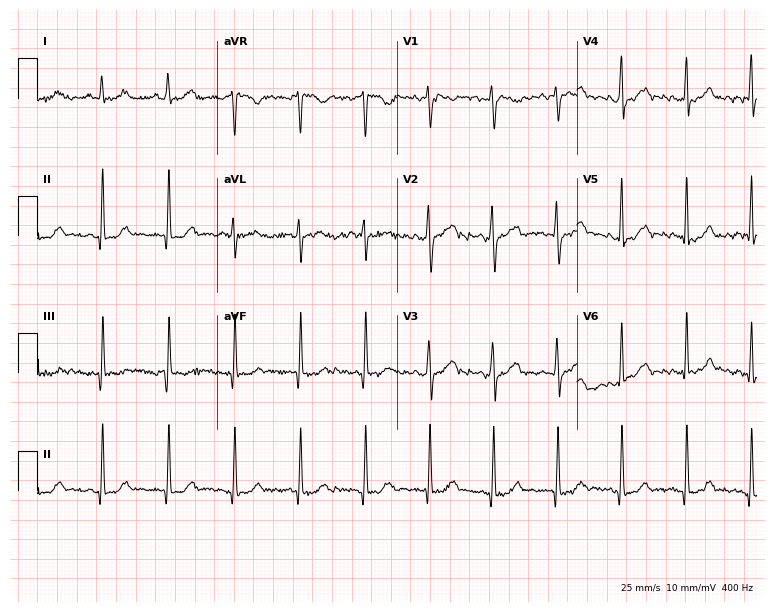
Electrocardiogram, a 39-year-old woman. Of the six screened findings (first-degree AV block, right bundle branch block (RBBB), left bundle branch block (LBBB), sinus bradycardia, atrial fibrillation (AF), sinus tachycardia), none is recorded. Other findings, if any, are not listed.